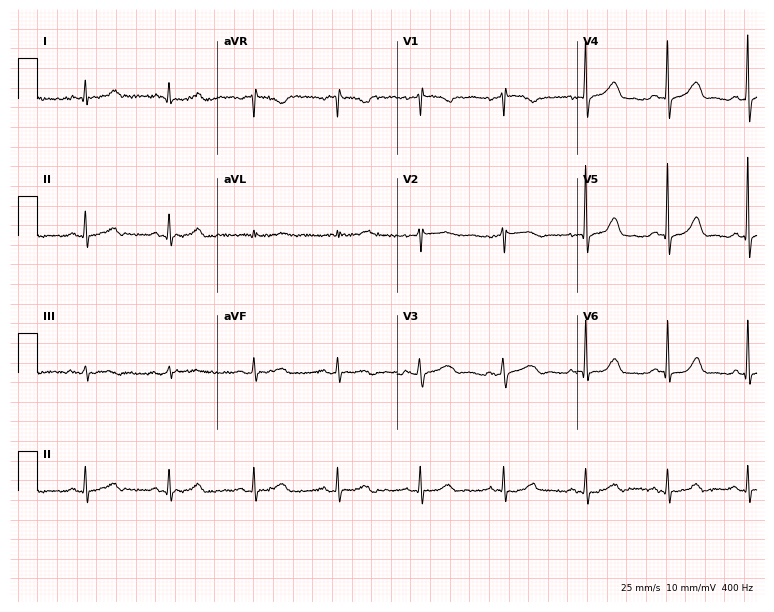
Electrocardiogram (7.3-second recording at 400 Hz), a 62-year-old woman. Overall reading on record: normal ECG.